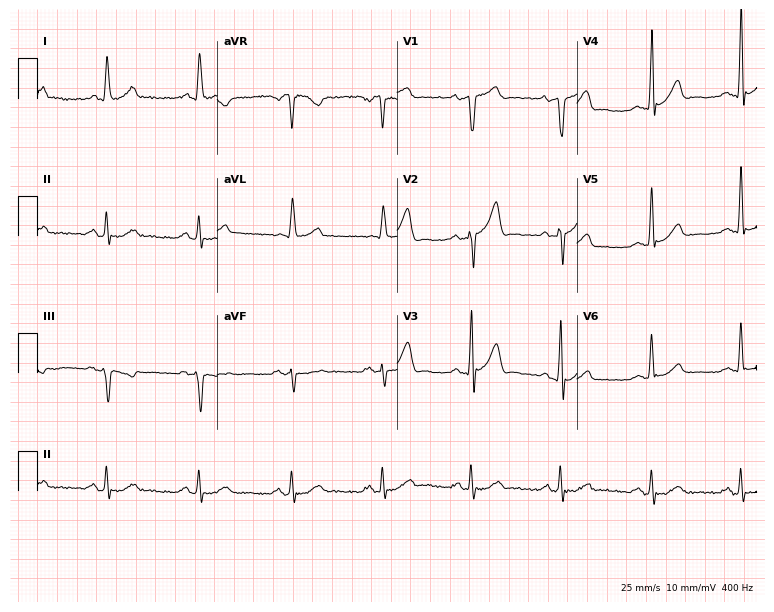
Standard 12-lead ECG recorded from a male patient, 58 years old. None of these six findings is recorded: first-degree AV block, right bundle branch block, left bundle branch block, sinus bradycardia, atrial fibrillation, sinus tachycardia.